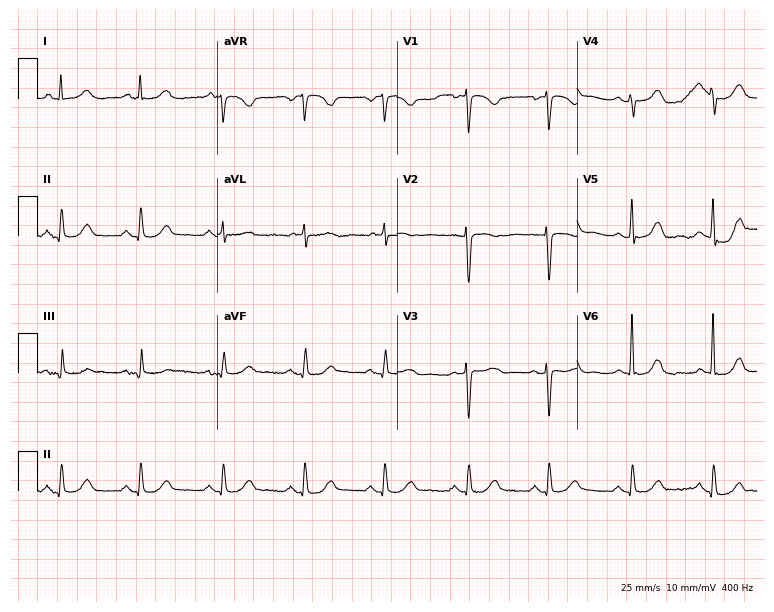
Resting 12-lead electrocardiogram. Patient: an 83-year-old female. None of these six findings is recorded: first-degree AV block, right bundle branch block, left bundle branch block, sinus bradycardia, atrial fibrillation, sinus tachycardia. Only these six findings were labelled.